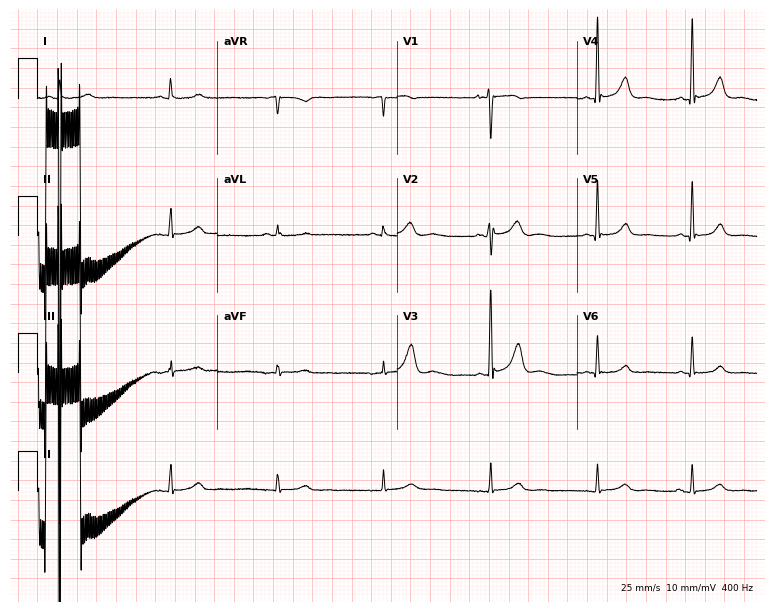
Electrocardiogram, a male patient, 32 years old. Of the six screened findings (first-degree AV block, right bundle branch block, left bundle branch block, sinus bradycardia, atrial fibrillation, sinus tachycardia), none is recorded.